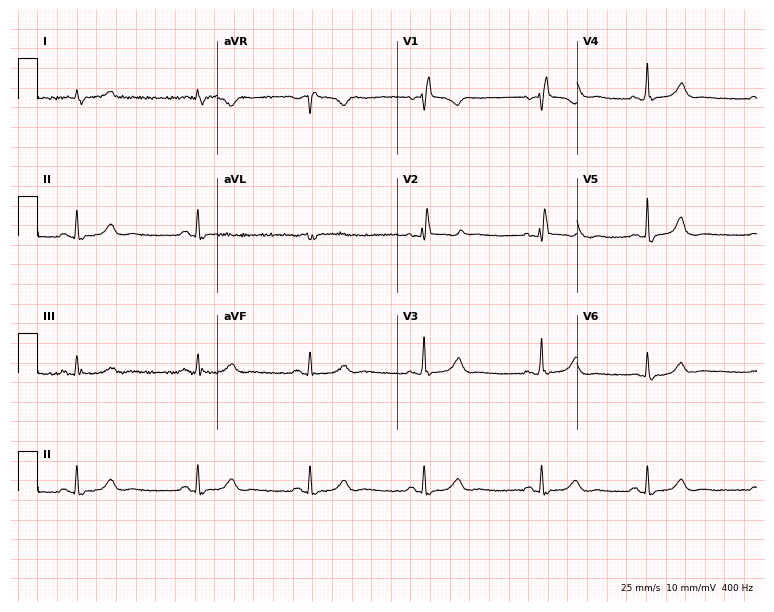
12-lead ECG from a female patient, 70 years old. Shows right bundle branch block.